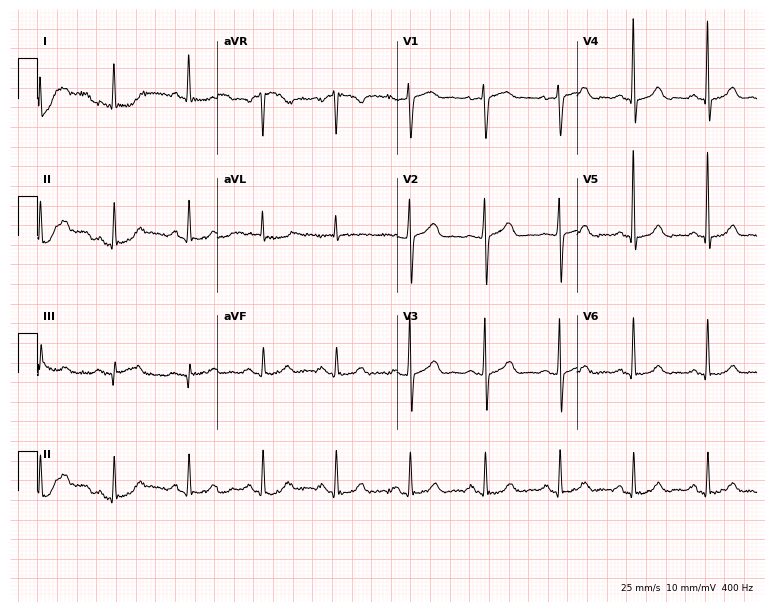
ECG (7.3-second recording at 400 Hz) — a woman, 81 years old. Labelled as a normal ECG.